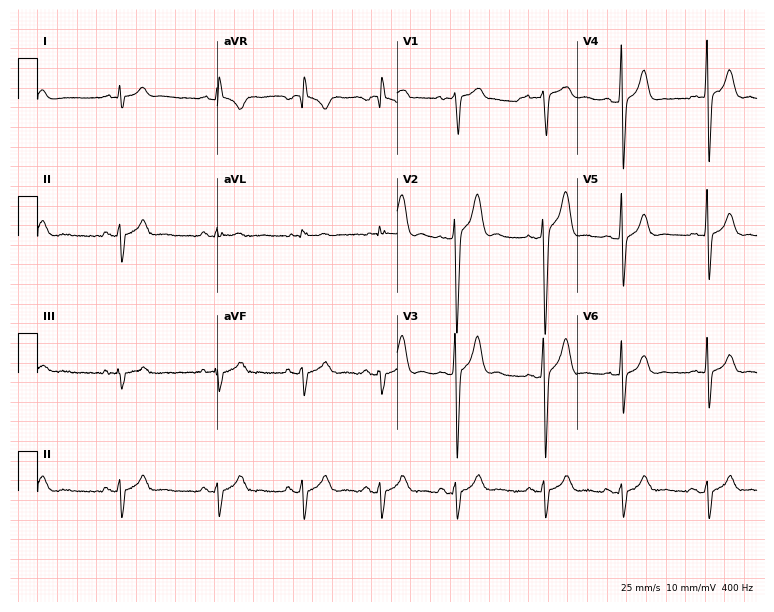
12-lead ECG (7.3-second recording at 400 Hz) from a 20-year-old man. Screened for six findings — first-degree AV block, right bundle branch block, left bundle branch block, sinus bradycardia, atrial fibrillation, sinus tachycardia — none is recorded.